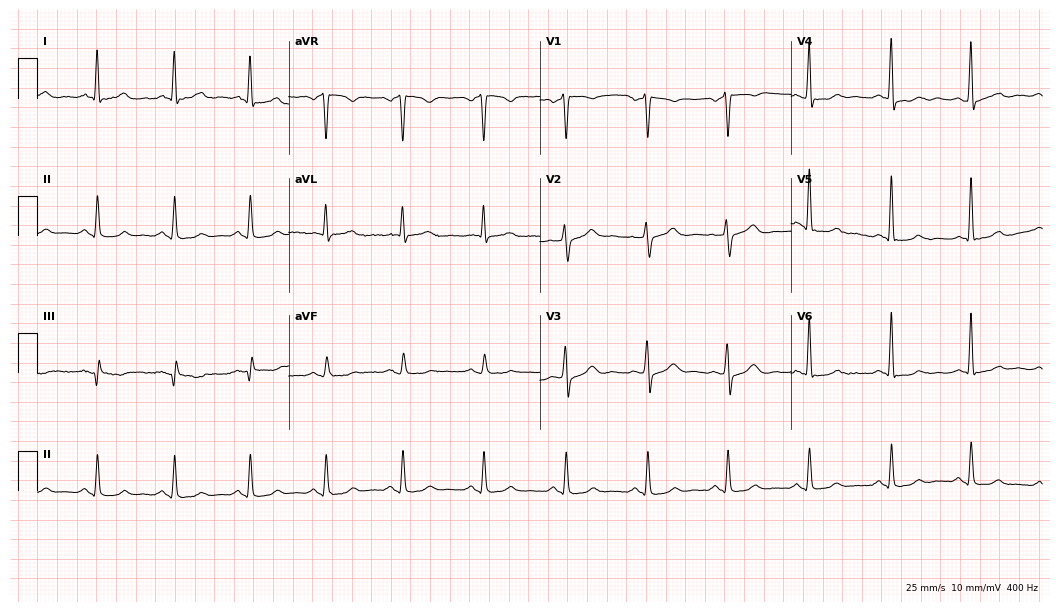
Electrocardiogram, a 54-year-old male patient. Of the six screened findings (first-degree AV block, right bundle branch block, left bundle branch block, sinus bradycardia, atrial fibrillation, sinus tachycardia), none is recorded.